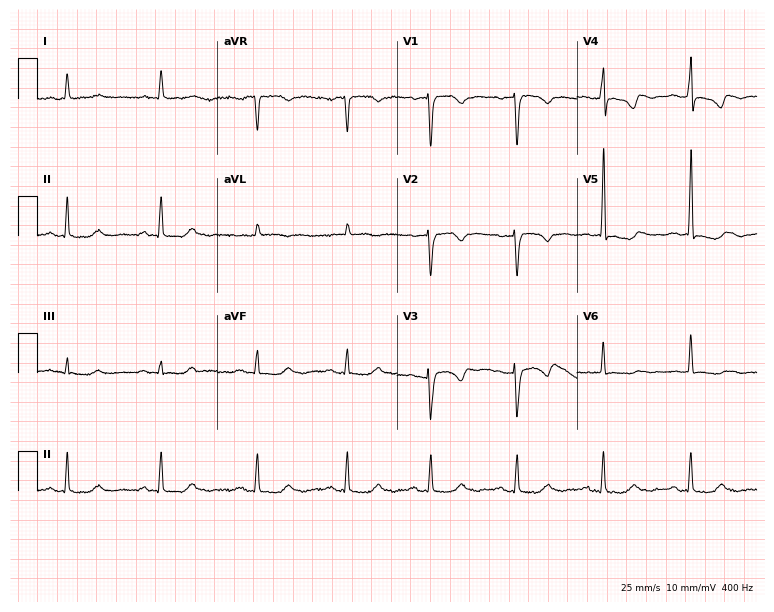
Standard 12-lead ECG recorded from a 58-year-old woman (7.3-second recording at 400 Hz). None of these six findings is recorded: first-degree AV block, right bundle branch block (RBBB), left bundle branch block (LBBB), sinus bradycardia, atrial fibrillation (AF), sinus tachycardia.